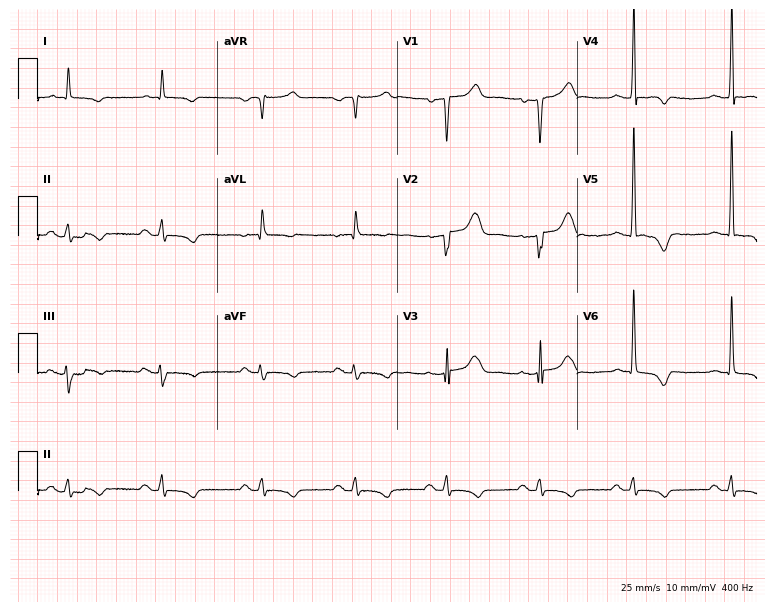
Standard 12-lead ECG recorded from a 64-year-old woman (7.3-second recording at 400 Hz). None of these six findings is recorded: first-degree AV block, right bundle branch block, left bundle branch block, sinus bradycardia, atrial fibrillation, sinus tachycardia.